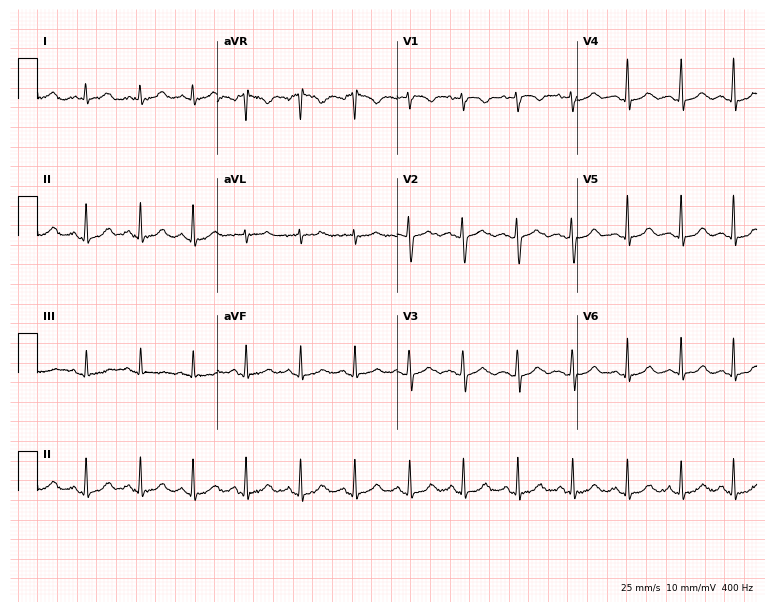
Electrocardiogram, a woman, 36 years old. Of the six screened findings (first-degree AV block, right bundle branch block, left bundle branch block, sinus bradycardia, atrial fibrillation, sinus tachycardia), none is recorded.